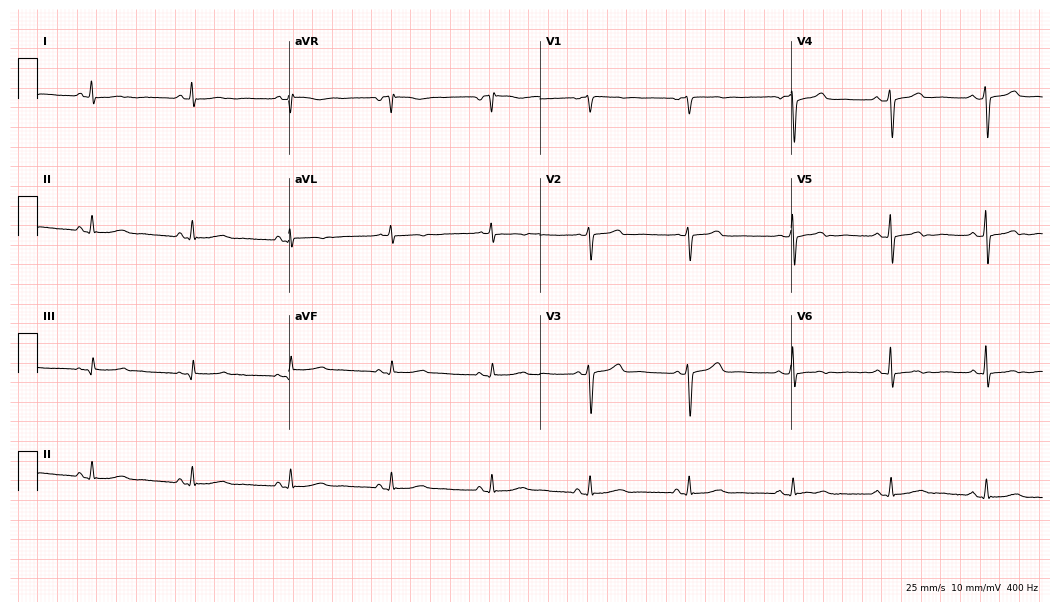
12-lead ECG from a 51-year-old female patient. No first-degree AV block, right bundle branch block (RBBB), left bundle branch block (LBBB), sinus bradycardia, atrial fibrillation (AF) or sinus tachycardia recorded for this tracing. Other findings, if any, are not listed.